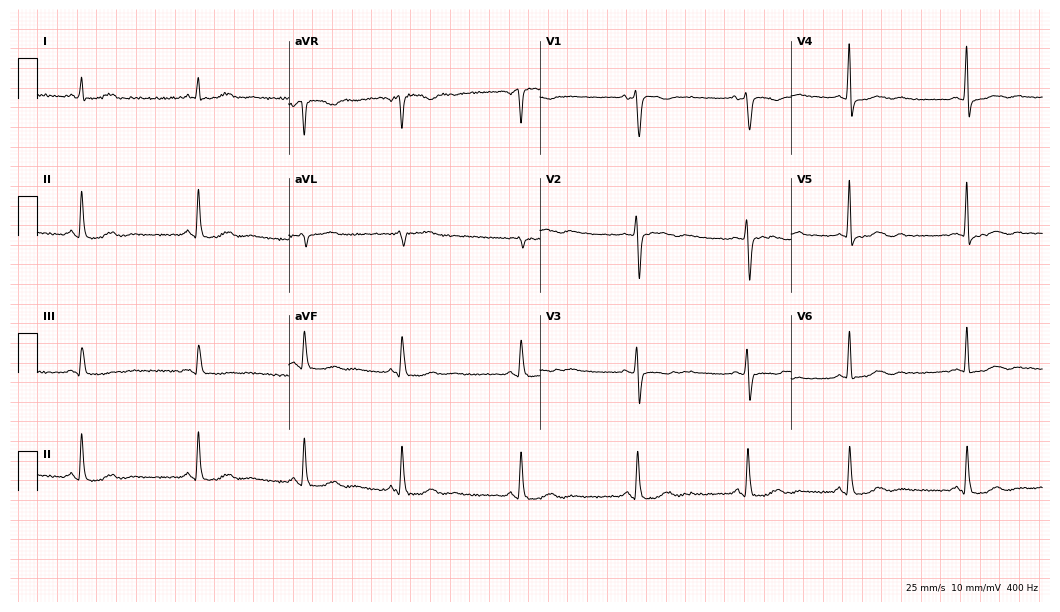
ECG (10.2-second recording at 400 Hz) — a woman, 55 years old. Screened for six findings — first-degree AV block, right bundle branch block, left bundle branch block, sinus bradycardia, atrial fibrillation, sinus tachycardia — none is recorded. Findings outside these six are not listed.